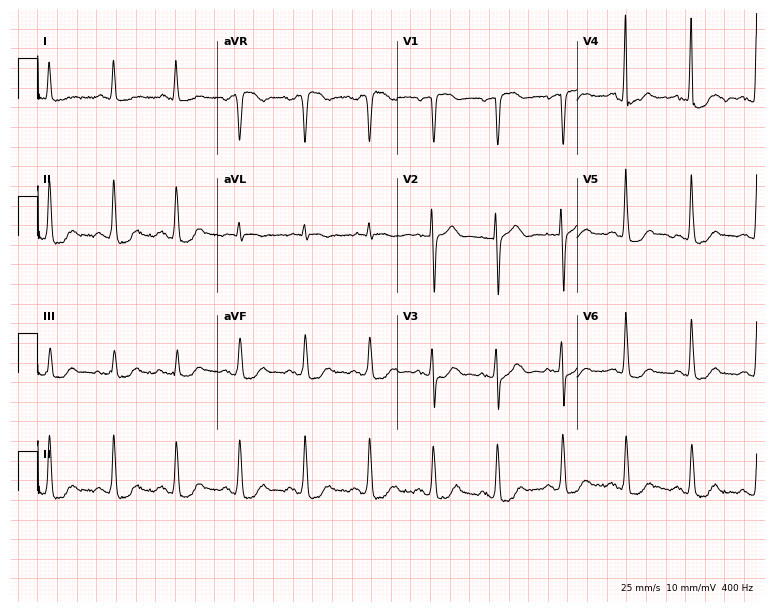
12-lead ECG (7.3-second recording at 400 Hz) from a male, 78 years old. Screened for six findings — first-degree AV block, right bundle branch block, left bundle branch block, sinus bradycardia, atrial fibrillation, sinus tachycardia — none is recorded. Only these six findings were labelled.